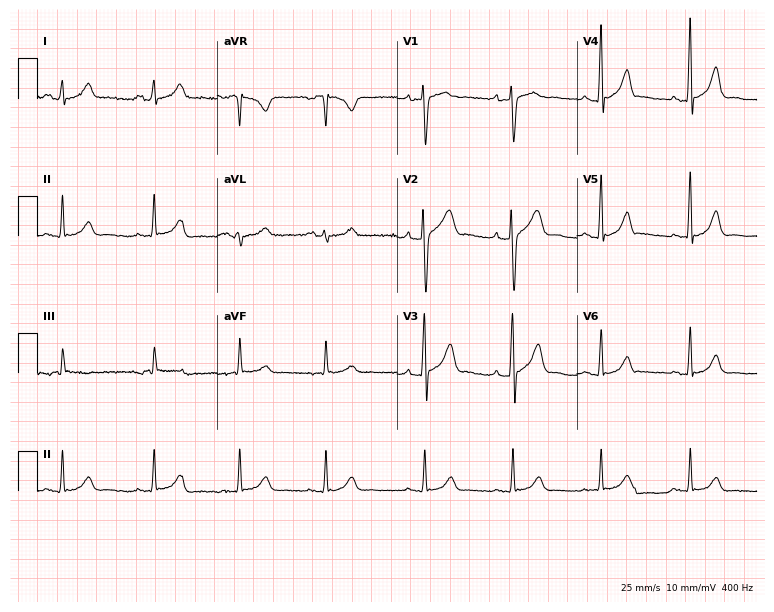
12-lead ECG from a man, 30 years old (7.3-second recording at 400 Hz). Recorded interpretation: within normal limits.